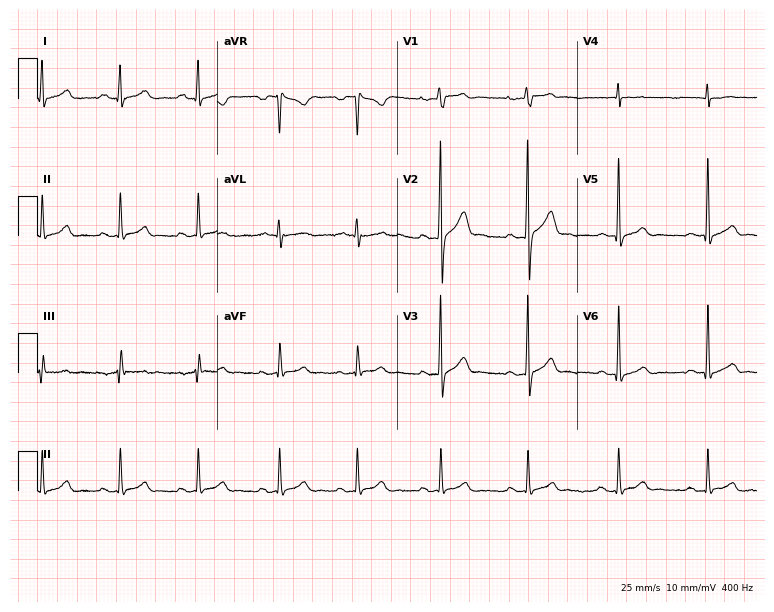
Standard 12-lead ECG recorded from a male, 29 years old (7.3-second recording at 400 Hz). Read as a normal ECG.